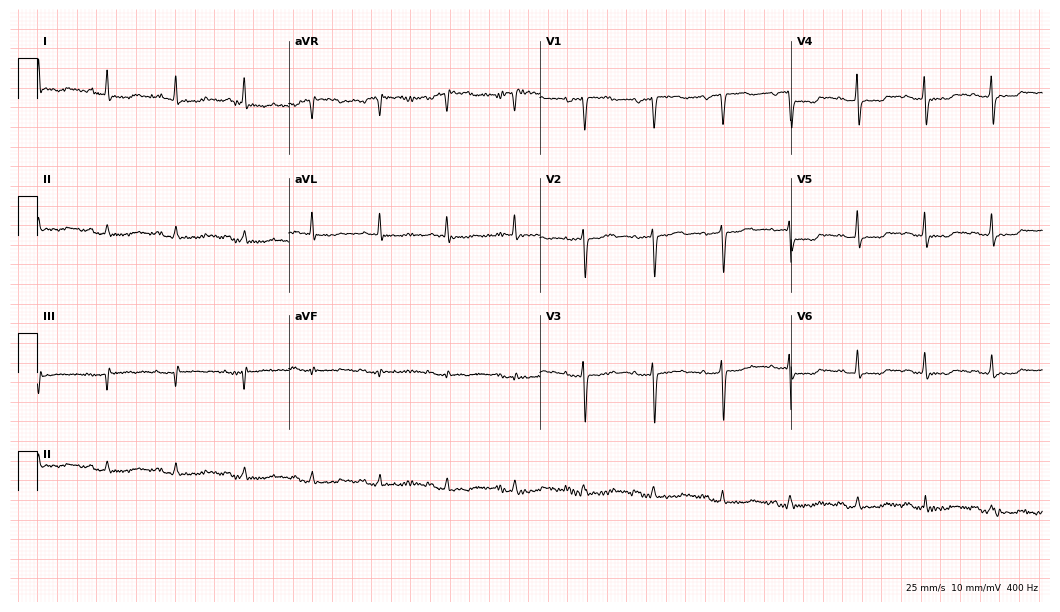
12-lead ECG from an 83-year-old female (10.2-second recording at 400 Hz). No first-degree AV block, right bundle branch block (RBBB), left bundle branch block (LBBB), sinus bradycardia, atrial fibrillation (AF) or sinus tachycardia recorded for this tracing. Other findings, if any, are not listed.